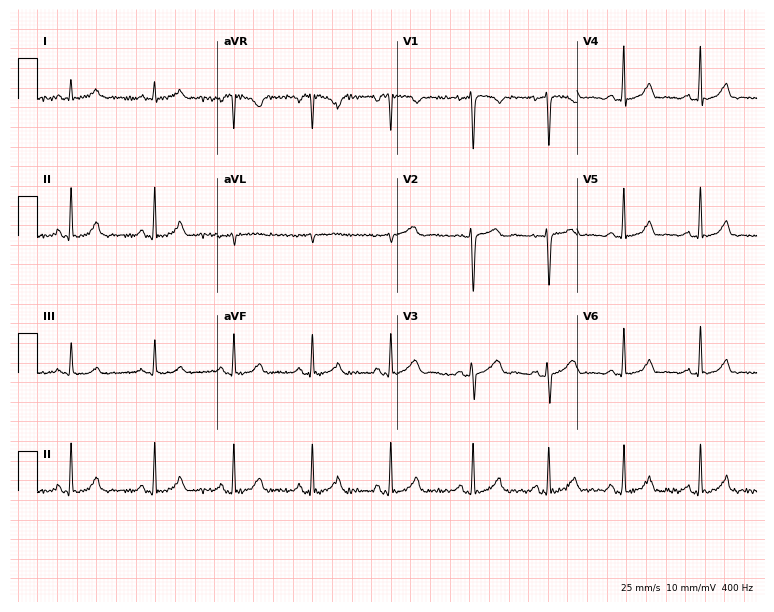
Standard 12-lead ECG recorded from a 31-year-old female (7.3-second recording at 400 Hz). Read as a normal ECG.